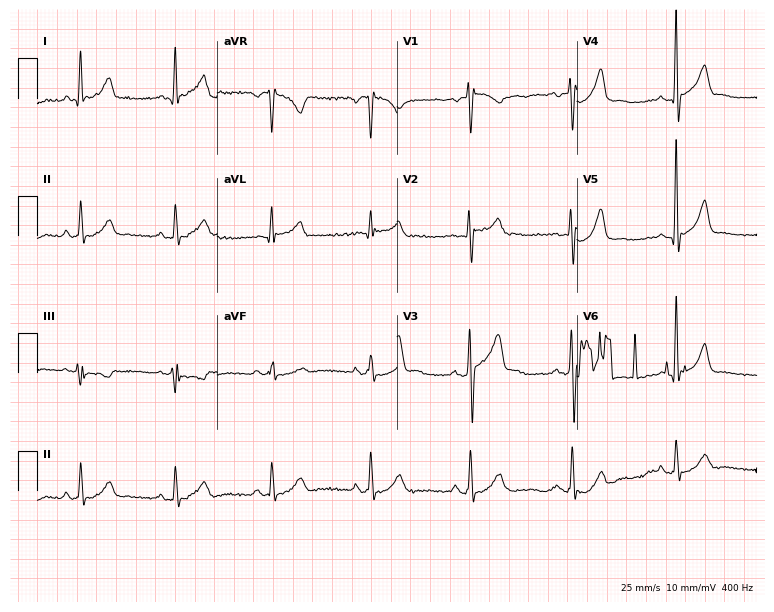
12-lead ECG from a 48-year-old man. No first-degree AV block, right bundle branch block (RBBB), left bundle branch block (LBBB), sinus bradycardia, atrial fibrillation (AF) or sinus tachycardia recorded for this tracing.